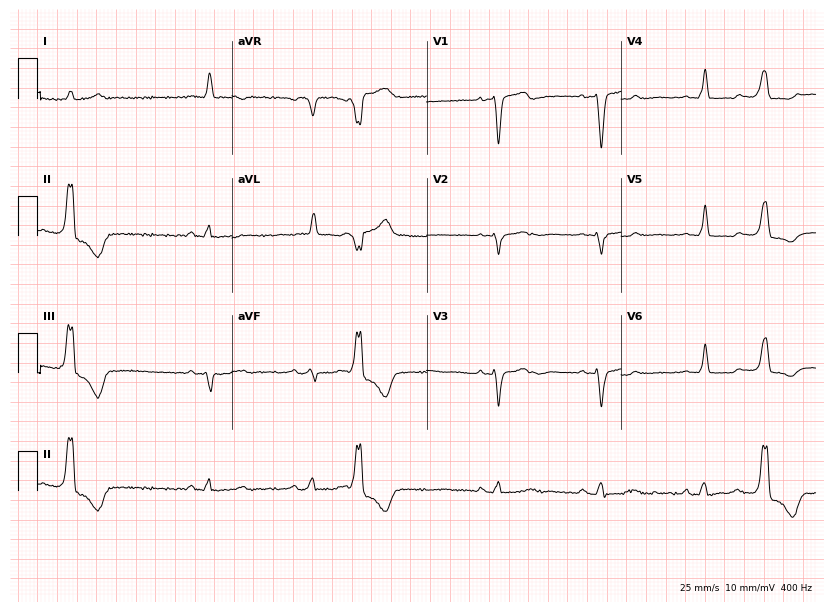
Electrocardiogram (7.9-second recording at 400 Hz), a 75-year-old woman. Interpretation includes left bundle branch block.